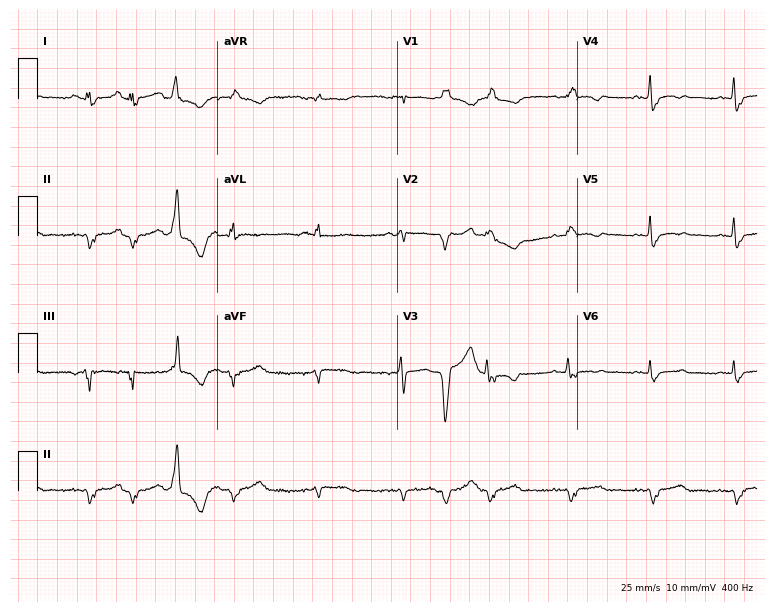
Standard 12-lead ECG recorded from a female patient, 52 years old. None of these six findings is recorded: first-degree AV block, right bundle branch block (RBBB), left bundle branch block (LBBB), sinus bradycardia, atrial fibrillation (AF), sinus tachycardia. Other findings, if any, are not listed.